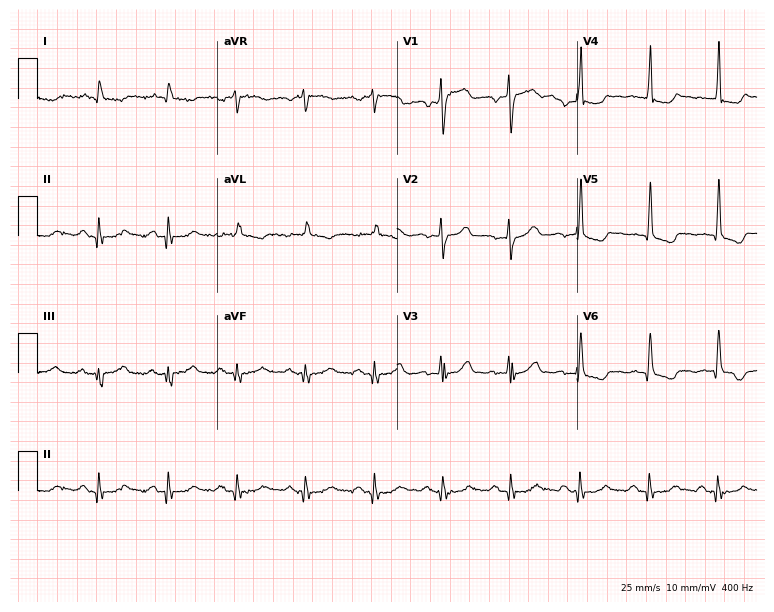
Resting 12-lead electrocardiogram. Patient: a man, 74 years old. None of these six findings is recorded: first-degree AV block, right bundle branch block, left bundle branch block, sinus bradycardia, atrial fibrillation, sinus tachycardia.